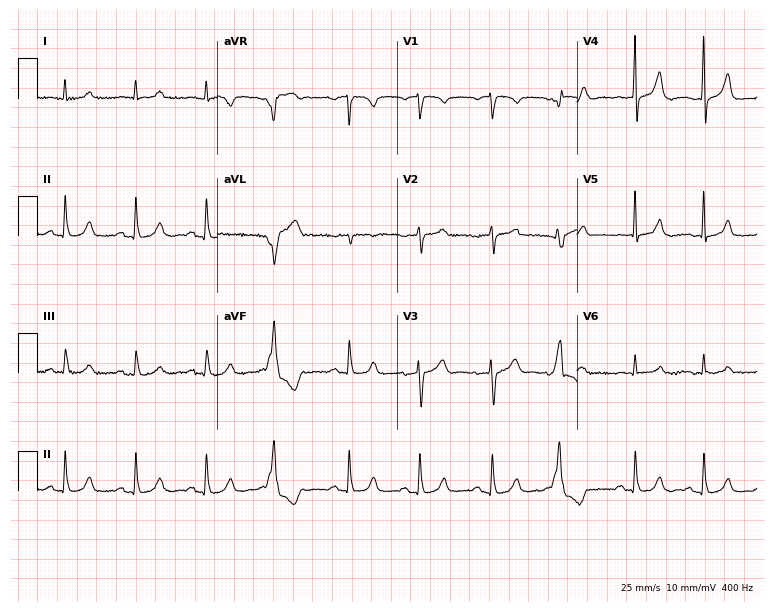
Standard 12-lead ECG recorded from an 82-year-old man. None of these six findings is recorded: first-degree AV block, right bundle branch block (RBBB), left bundle branch block (LBBB), sinus bradycardia, atrial fibrillation (AF), sinus tachycardia.